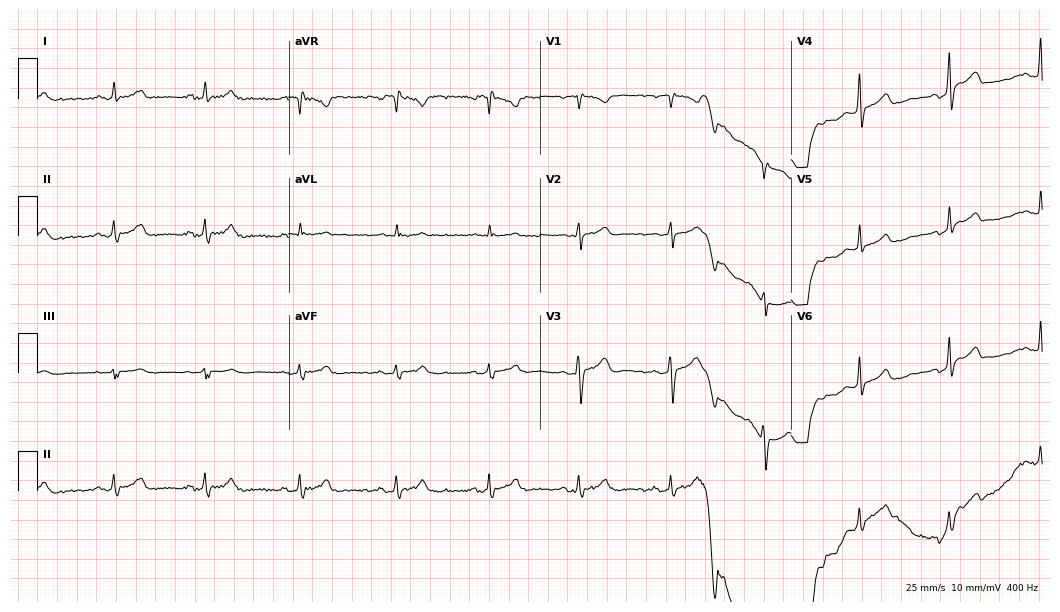
ECG (10.2-second recording at 400 Hz) — a woman, 43 years old. Screened for six findings — first-degree AV block, right bundle branch block, left bundle branch block, sinus bradycardia, atrial fibrillation, sinus tachycardia — none is recorded. Findings outside these six are not listed.